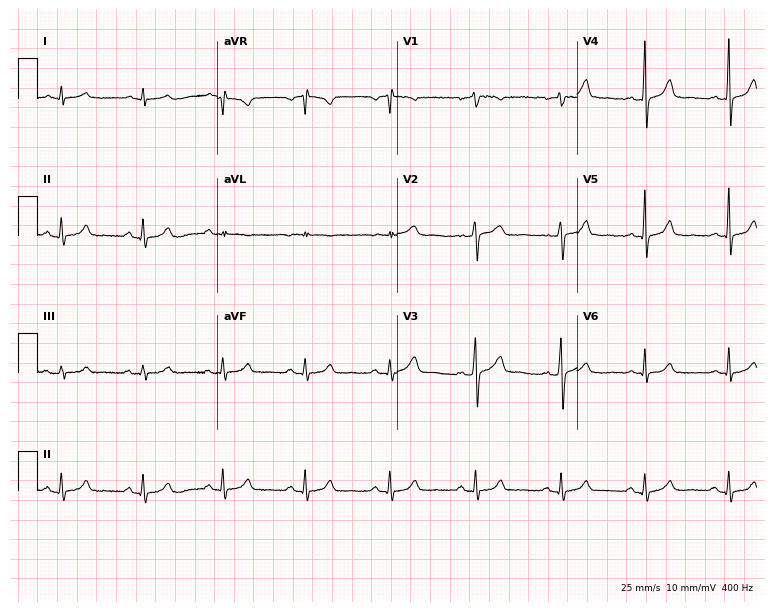
Resting 12-lead electrocardiogram. Patient: a 50-year-old woman. Read as a normal ECG.